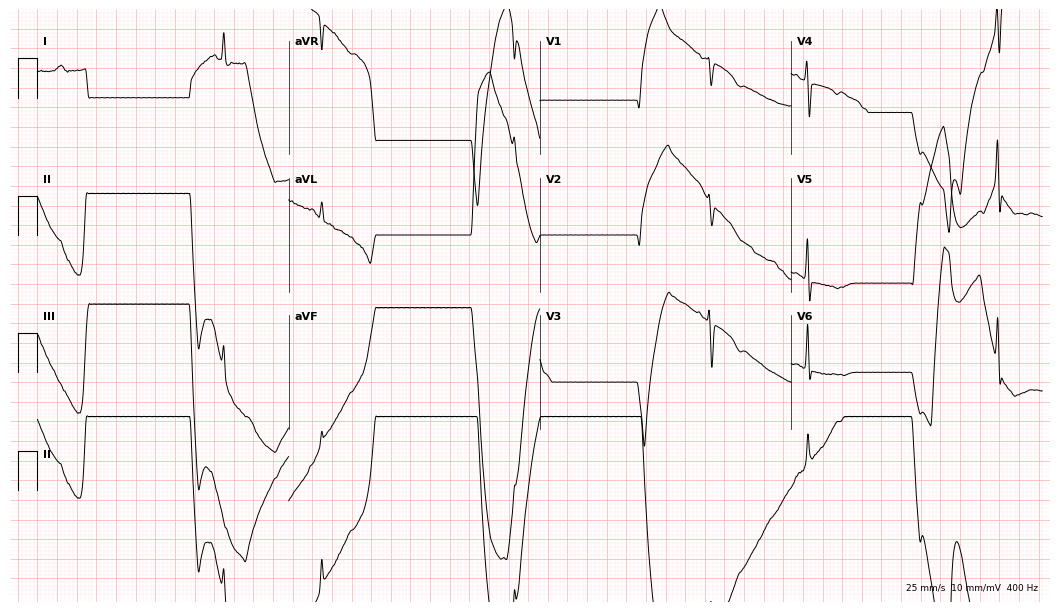
Electrocardiogram, a 57-year-old female. Of the six screened findings (first-degree AV block, right bundle branch block (RBBB), left bundle branch block (LBBB), sinus bradycardia, atrial fibrillation (AF), sinus tachycardia), none is recorded.